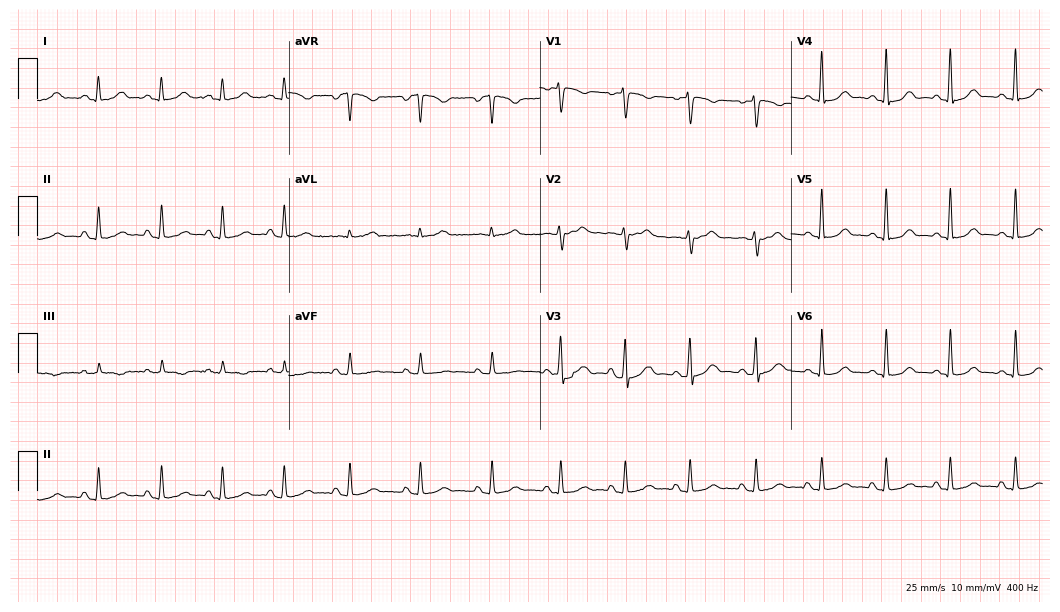
12-lead ECG from a 43-year-old female patient. Labelled as a normal ECG.